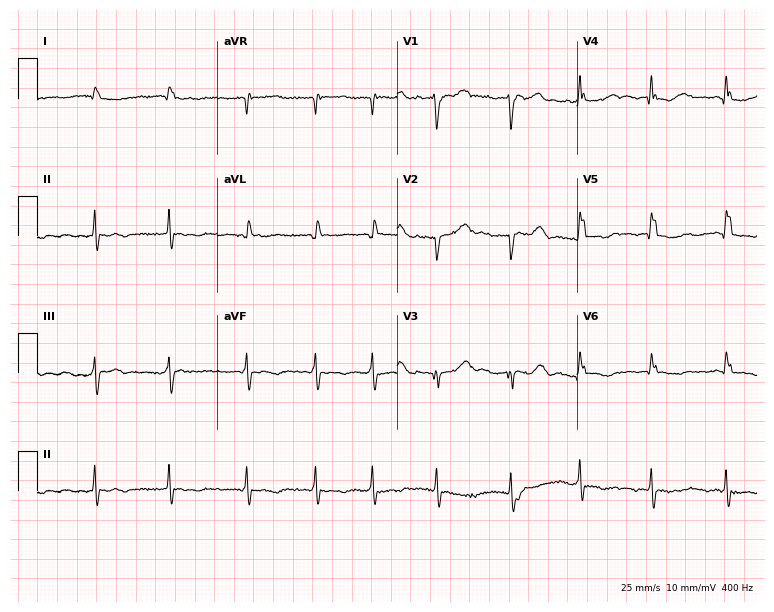
Standard 12-lead ECG recorded from a 65-year-old male (7.3-second recording at 400 Hz). The tracing shows atrial fibrillation.